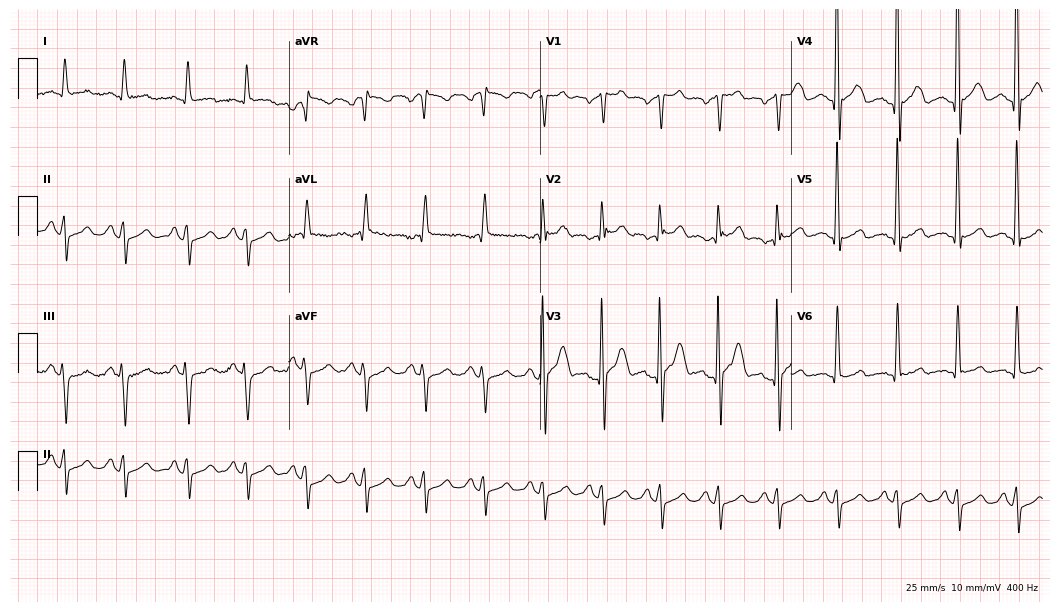
ECG — a male patient, 43 years old. Screened for six findings — first-degree AV block, right bundle branch block, left bundle branch block, sinus bradycardia, atrial fibrillation, sinus tachycardia — none is recorded. Only these six findings were labelled.